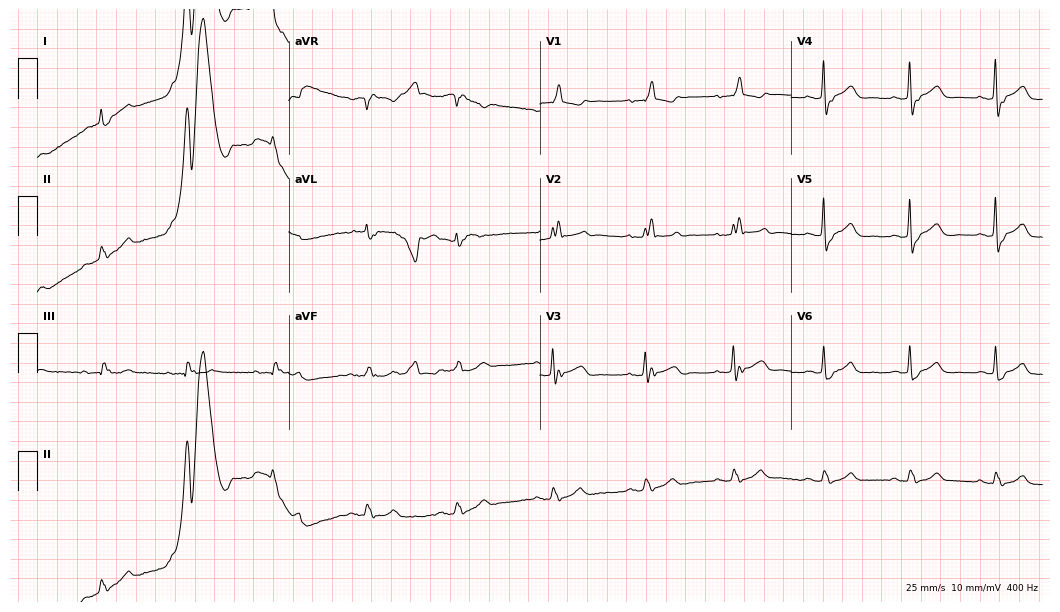
Electrocardiogram, an 81-year-old male. Interpretation includes right bundle branch block (RBBB).